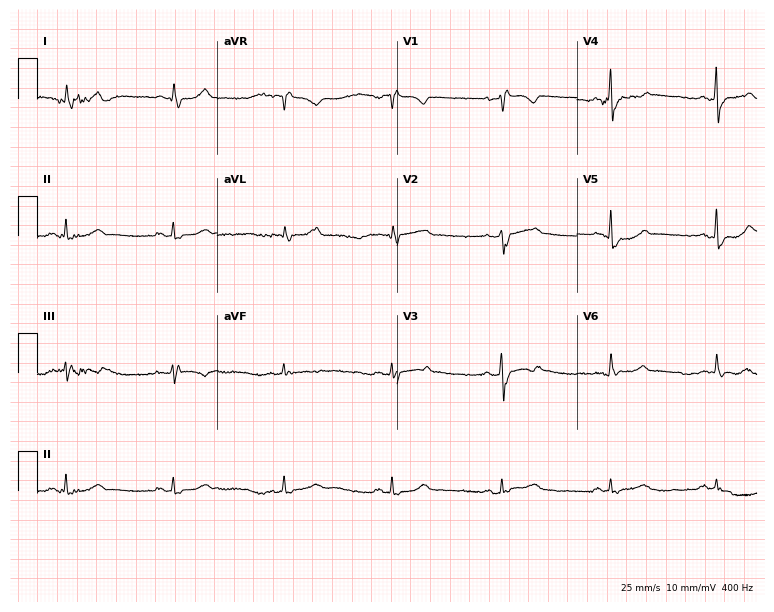
12-lead ECG (7.3-second recording at 400 Hz) from a 46-year-old female patient. Findings include right bundle branch block.